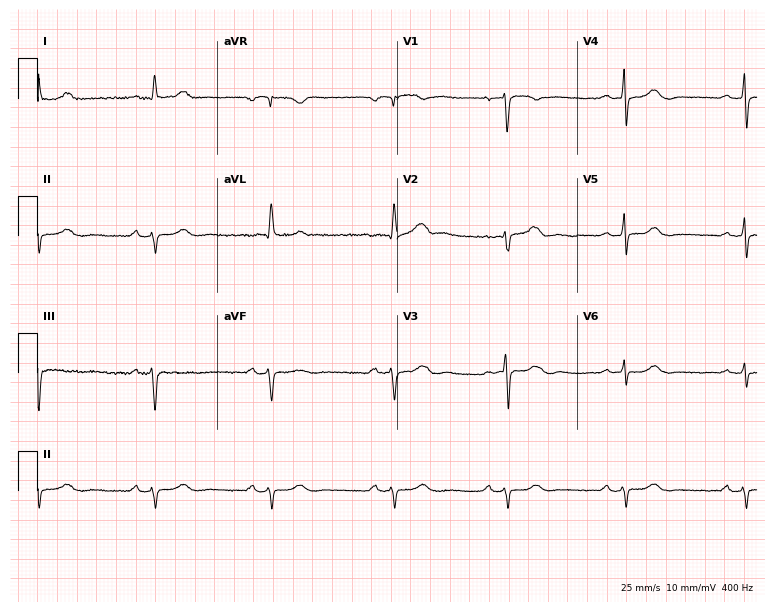
12-lead ECG from a female patient, 82 years old (7.3-second recording at 400 Hz). Shows right bundle branch block.